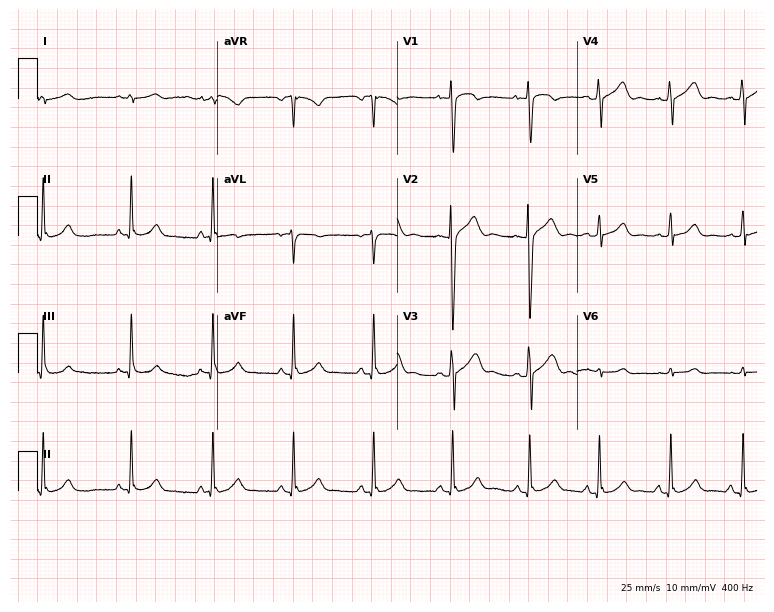
12-lead ECG (7.3-second recording at 400 Hz) from an 18-year-old male patient. Screened for six findings — first-degree AV block, right bundle branch block (RBBB), left bundle branch block (LBBB), sinus bradycardia, atrial fibrillation (AF), sinus tachycardia — none is recorded. Other findings, if any, are not listed.